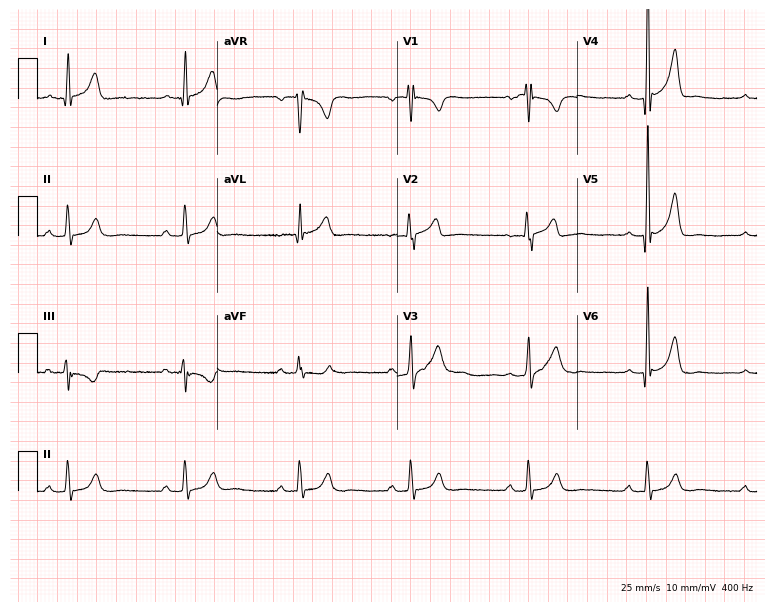
Resting 12-lead electrocardiogram (7.3-second recording at 400 Hz). Patient: a man, 36 years old. The tracing shows sinus bradycardia (a sinus rate of 50 beats per minute or less).